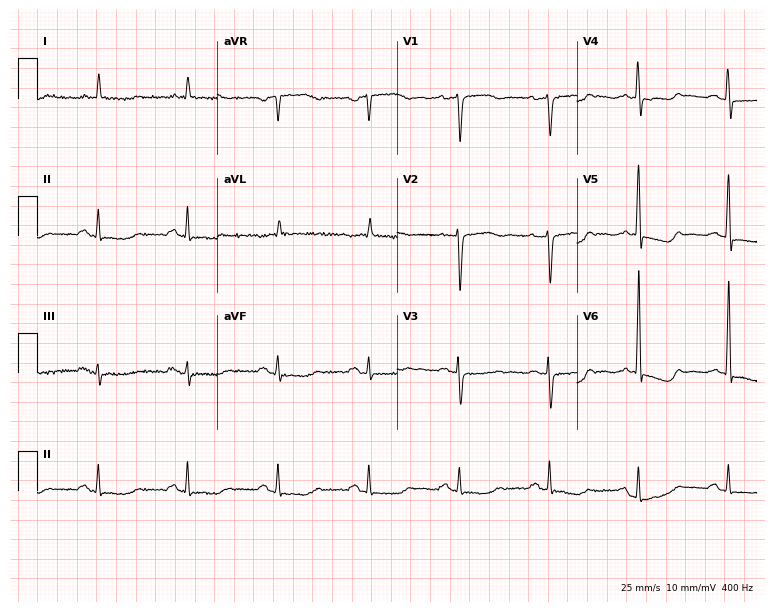
Resting 12-lead electrocardiogram. Patient: a 63-year-old female. None of these six findings is recorded: first-degree AV block, right bundle branch block, left bundle branch block, sinus bradycardia, atrial fibrillation, sinus tachycardia.